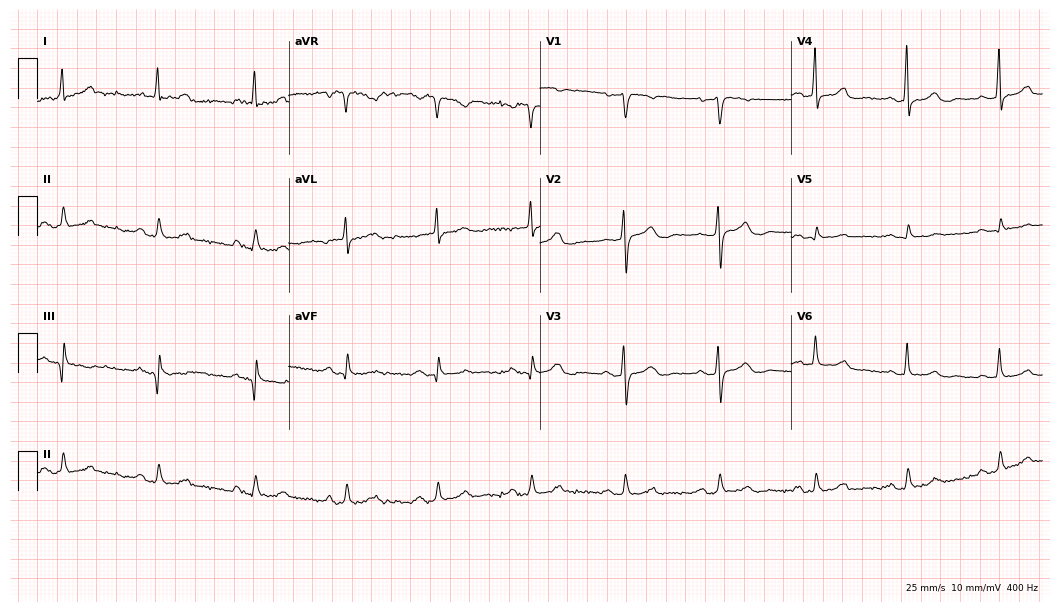
Electrocardiogram, a 73-year-old female patient. Of the six screened findings (first-degree AV block, right bundle branch block, left bundle branch block, sinus bradycardia, atrial fibrillation, sinus tachycardia), none is recorded. Only these six findings were labelled.